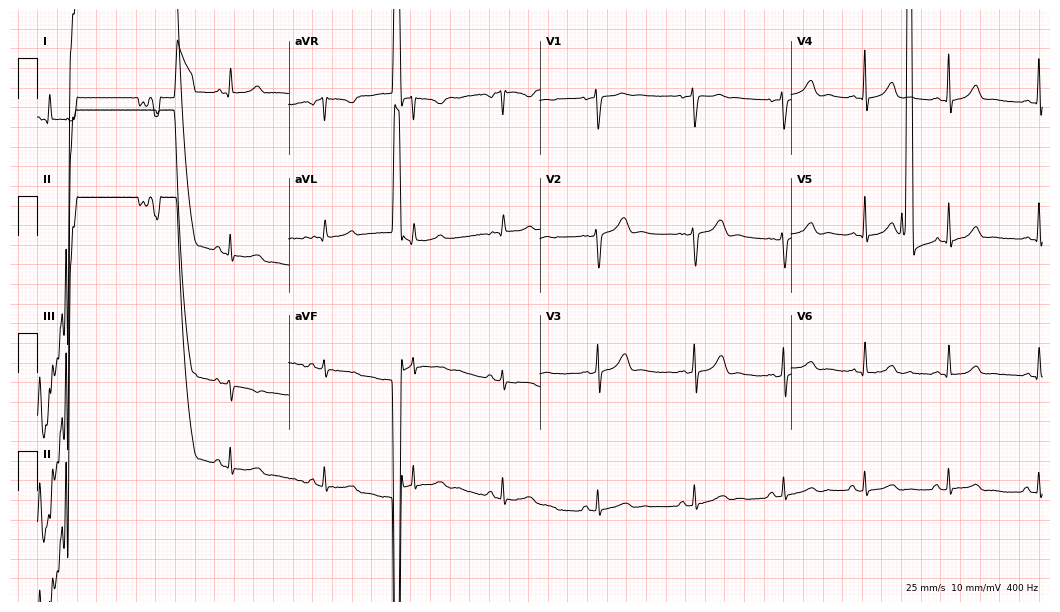
Electrocardiogram (10.2-second recording at 400 Hz), a 20-year-old woman. Of the six screened findings (first-degree AV block, right bundle branch block, left bundle branch block, sinus bradycardia, atrial fibrillation, sinus tachycardia), none is recorded. Other findings, if any, are not listed.